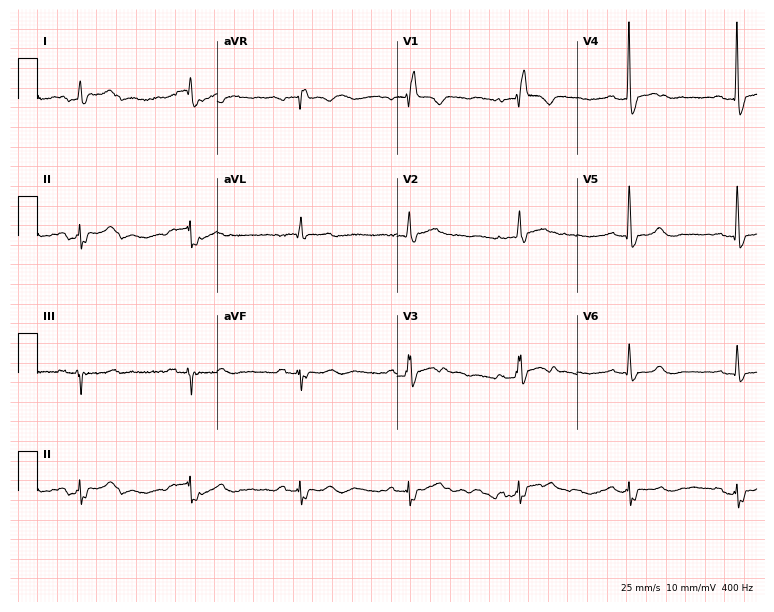
Resting 12-lead electrocardiogram. Patient: a man, 49 years old. None of these six findings is recorded: first-degree AV block, right bundle branch block, left bundle branch block, sinus bradycardia, atrial fibrillation, sinus tachycardia.